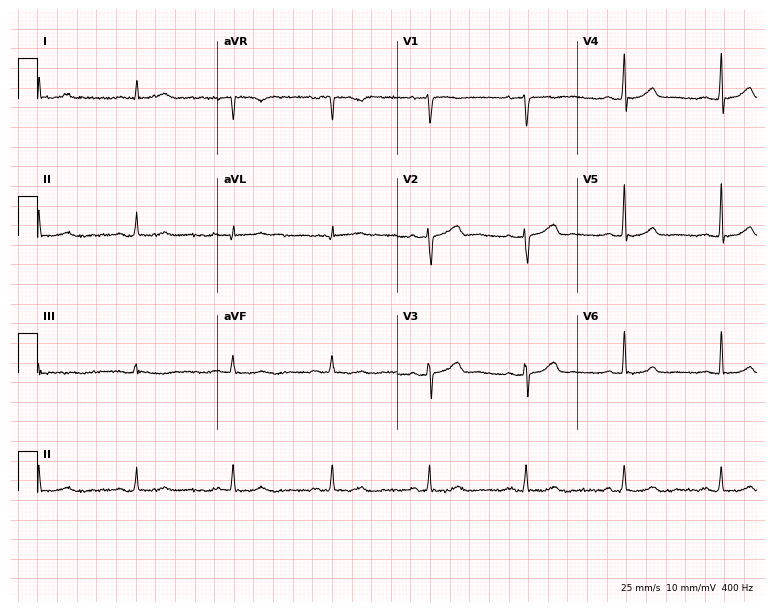
ECG (7.3-second recording at 400 Hz) — a 44-year-old female. Screened for six findings — first-degree AV block, right bundle branch block (RBBB), left bundle branch block (LBBB), sinus bradycardia, atrial fibrillation (AF), sinus tachycardia — none is recorded.